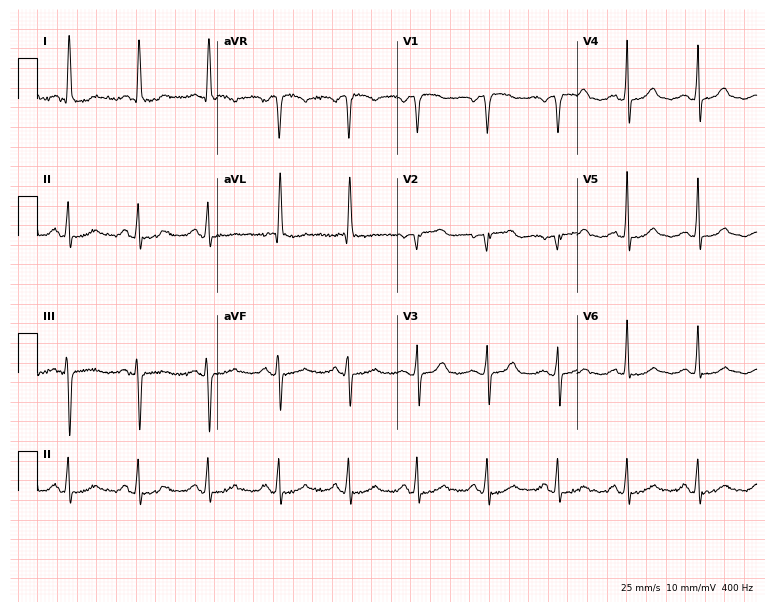
Electrocardiogram (7.3-second recording at 400 Hz), a 62-year-old woman. Overall reading on record: normal ECG.